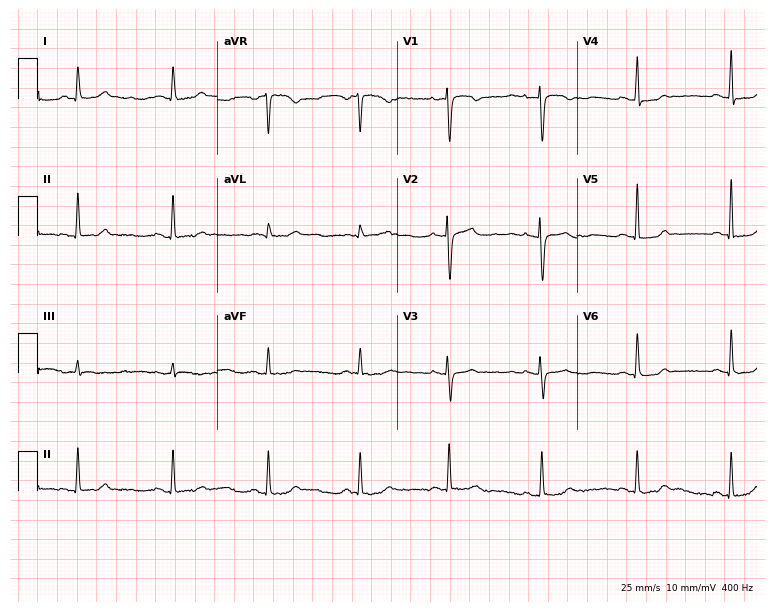
Electrocardiogram (7.3-second recording at 400 Hz), a 49-year-old woman. Overall reading on record: normal ECG.